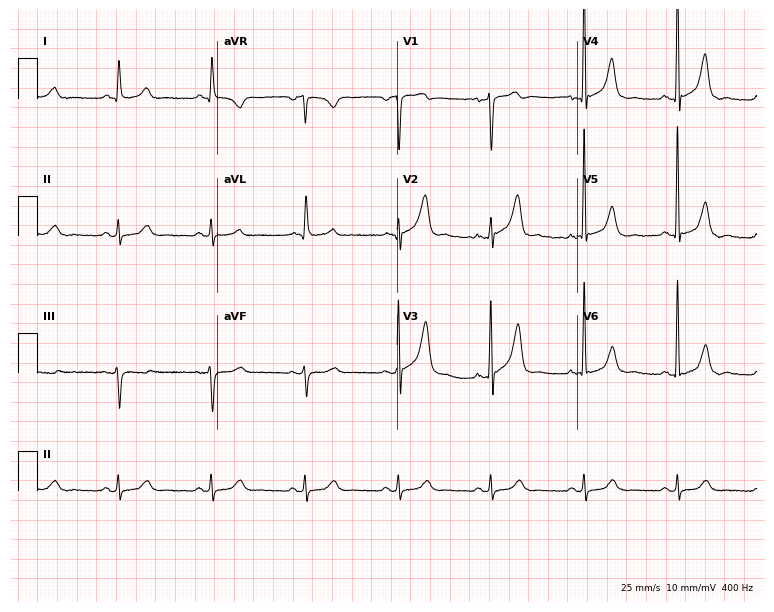
12-lead ECG from a man, 57 years old (7.3-second recording at 400 Hz). No first-degree AV block, right bundle branch block, left bundle branch block, sinus bradycardia, atrial fibrillation or sinus tachycardia recorded for this tracing. Findings outside these six are not listed.